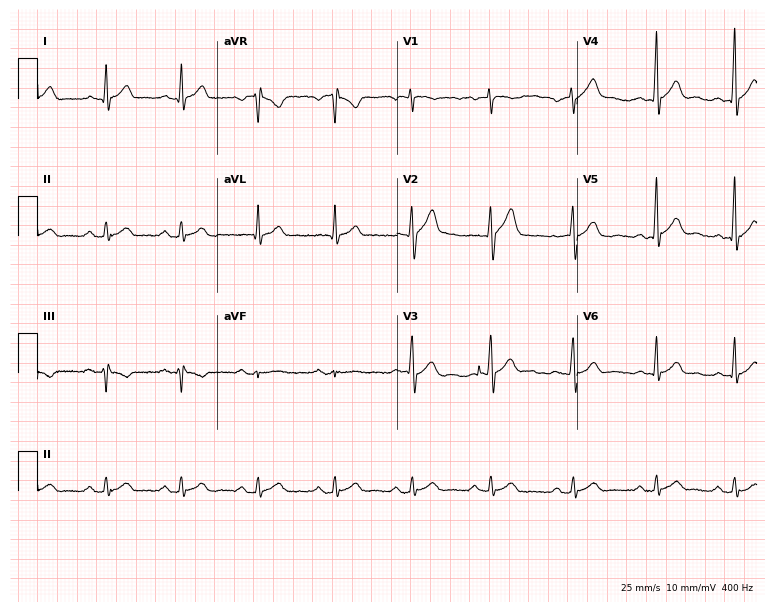
Resting 12-lead electrocardiogram (7.3-second recording at 400 Hz). Patient: a male, 46 years old. Read as a normal ECG.